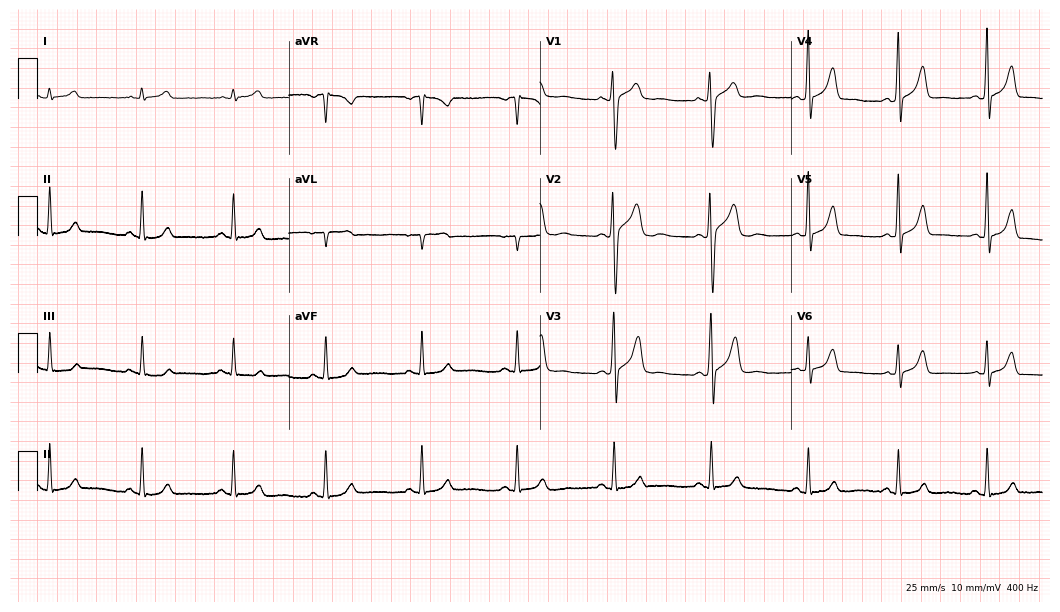
Standard 12-lead ECG recorded from a male, 18 years old. Read as a normal ECG.